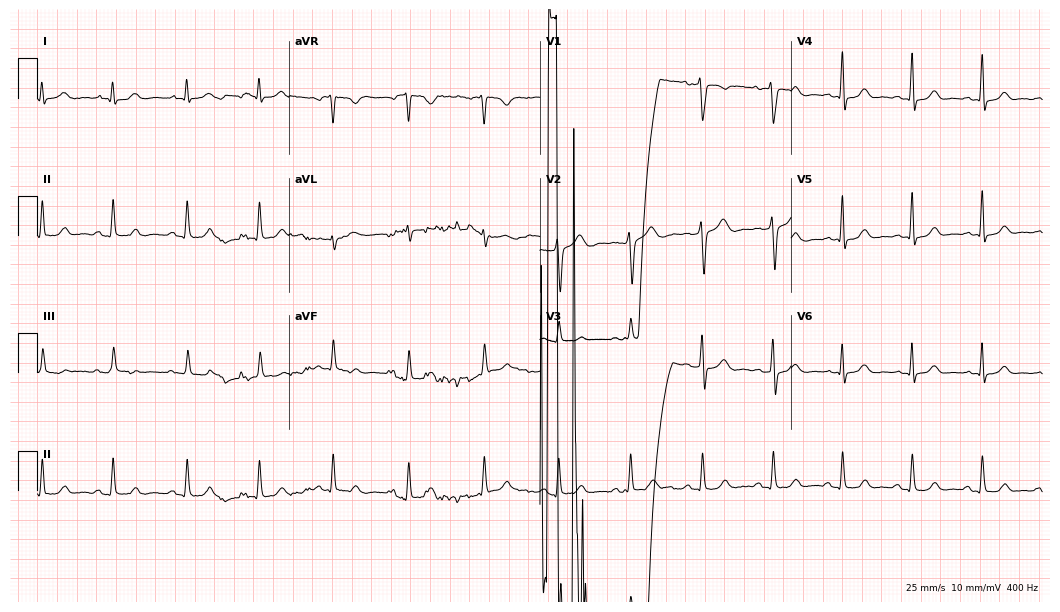
12-lead ECG from a 39-year-old male. Screened for six findings — first-degree AV block, right bundle branch block, left bundle branch block, sinus bradycardia, atrial fibrillation, sinus tachycardia — none is recorded.